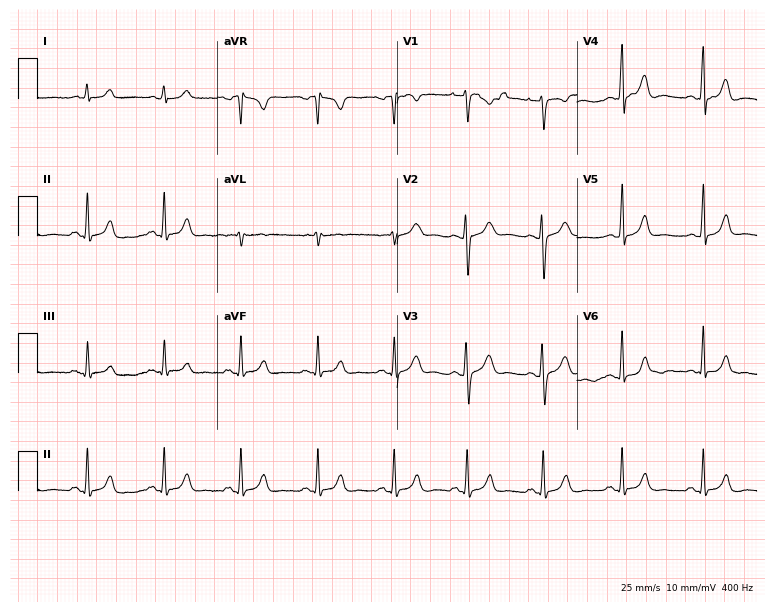
Standard 12-lead ECG recorded from a 27-year-old female patient (7.3-second recording at 400 Hz). None of these six findings is recorded: first-degree AV block, right bundle branch block, left bundle branch block, sinus bradycardia, atrial fibrillation, sinus tachycardia.